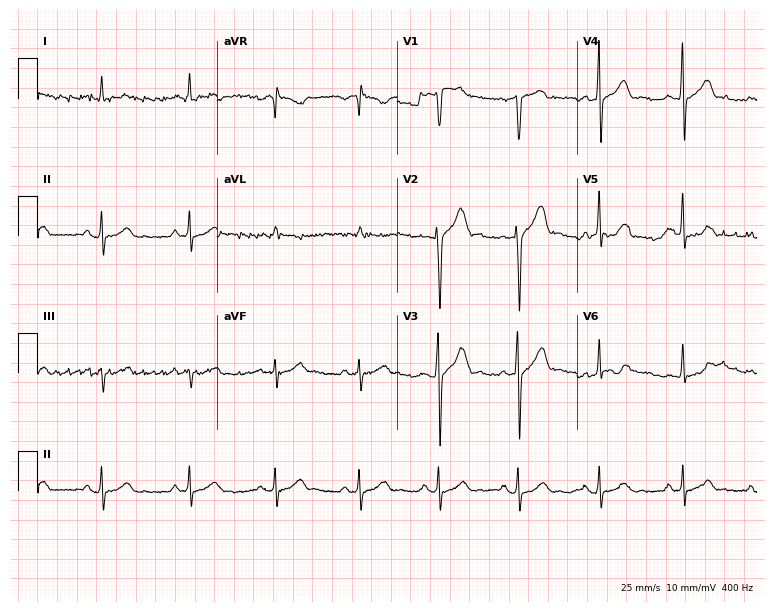
ECG (7.3-second recording at 400 Hz) — a male, 37 years old. Labelled as a normal ECG.